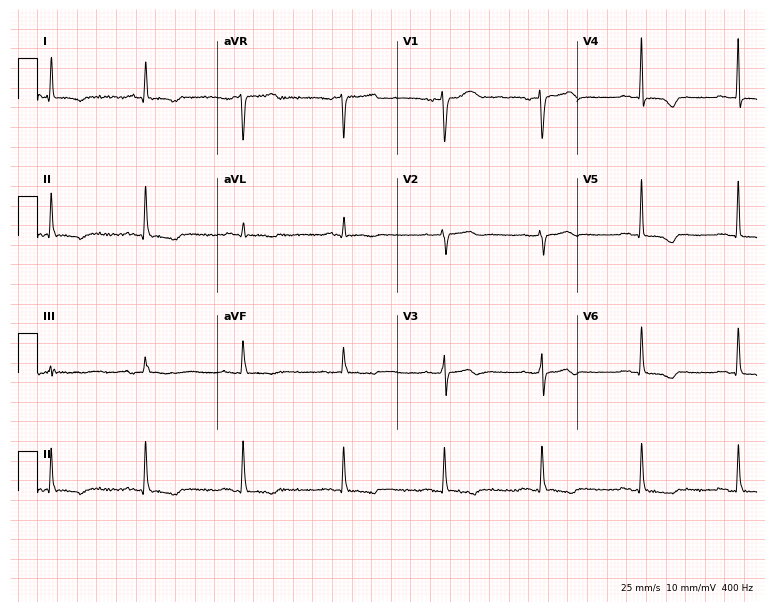
Electrocardiogram, a 63-year-old female patient. Of the six screened findings (first-degree AV block, right bundle branch block (RBBB), left bundle branch block (LBBB), sinus bradycardia, atrial fibrillation (AF), sinus tachycardia), none is recorded.